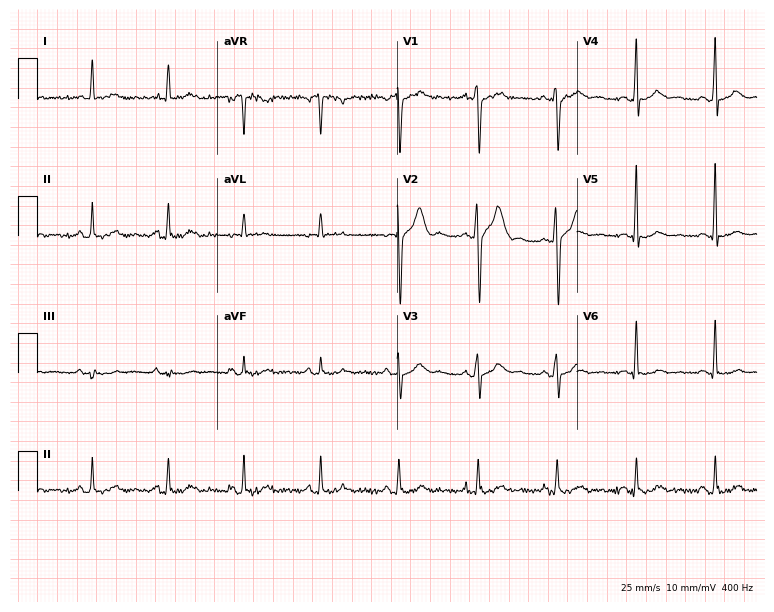
ECG (7.3-second recording at 400 Hz) — a 32-year-old female. Screened for six findings — first-degree AV block, right bundle branch block (RBBB), left bundle branch block (LBBB), sinus bradycardia, atrial fibrillation (AF), sinus tachycardia — none is recorded.